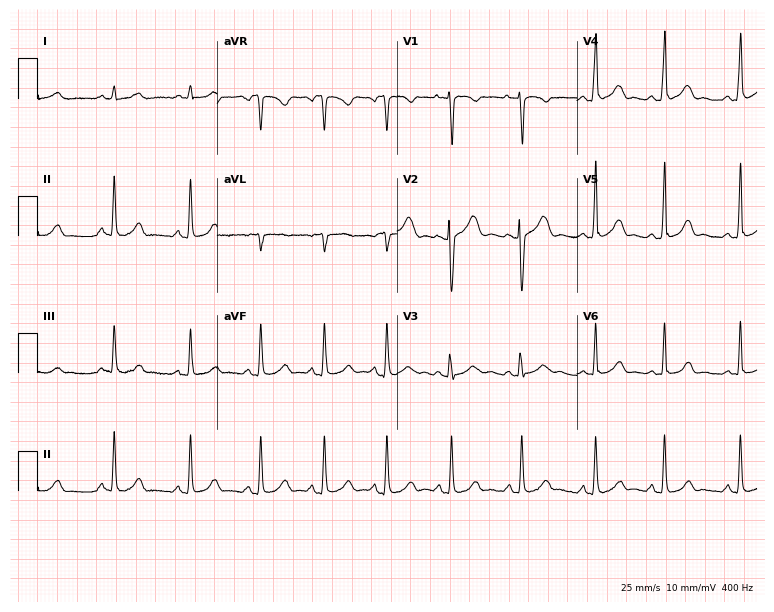
12-lead ECG (7.3-second recording at 400 Hz) from a female, 17 years old. Labelled as a normal ECG.